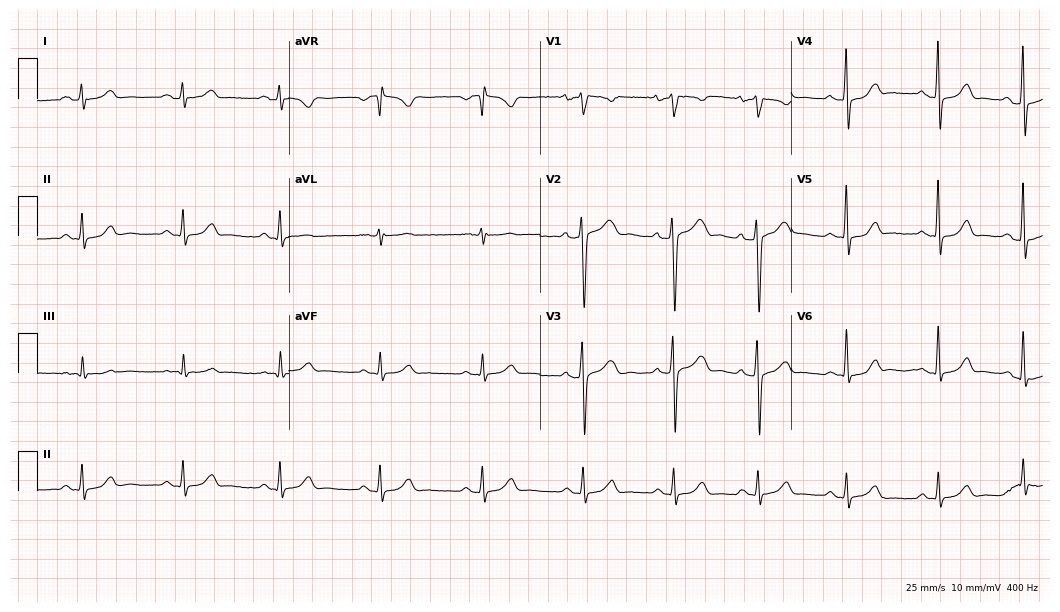
Resting 12-lead electrocardiogram (10.2-second recording at 400 Hz). Patient: a male, 34 years old. Read as a normal ECG.